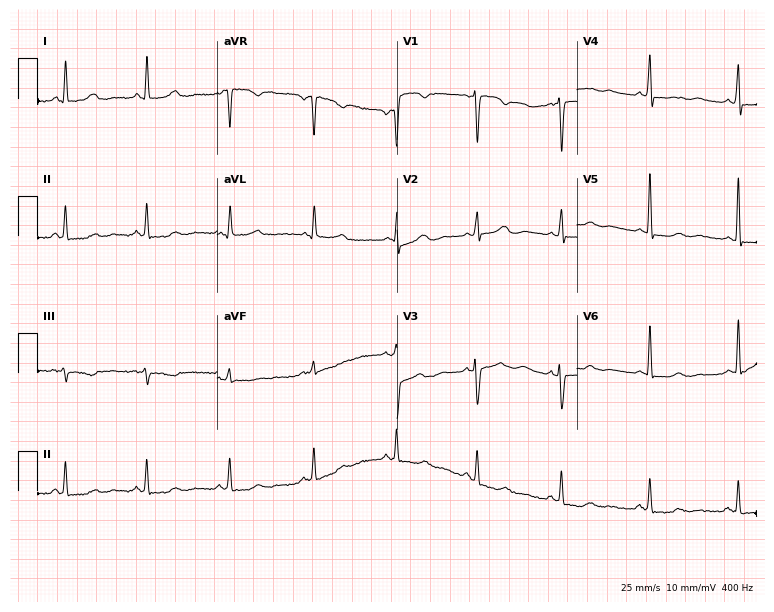
Resting 12-lead electrocardiogram. Patient: a 48-year-old female. None of these six findings is recorded: first-degree AV block, right bundle branch block (RBBB), left bundle branch block (LBBB), sinus bradycardia, atrial fibrillation (AF), sinus tachycardia. Other findings, if any, are not listed.